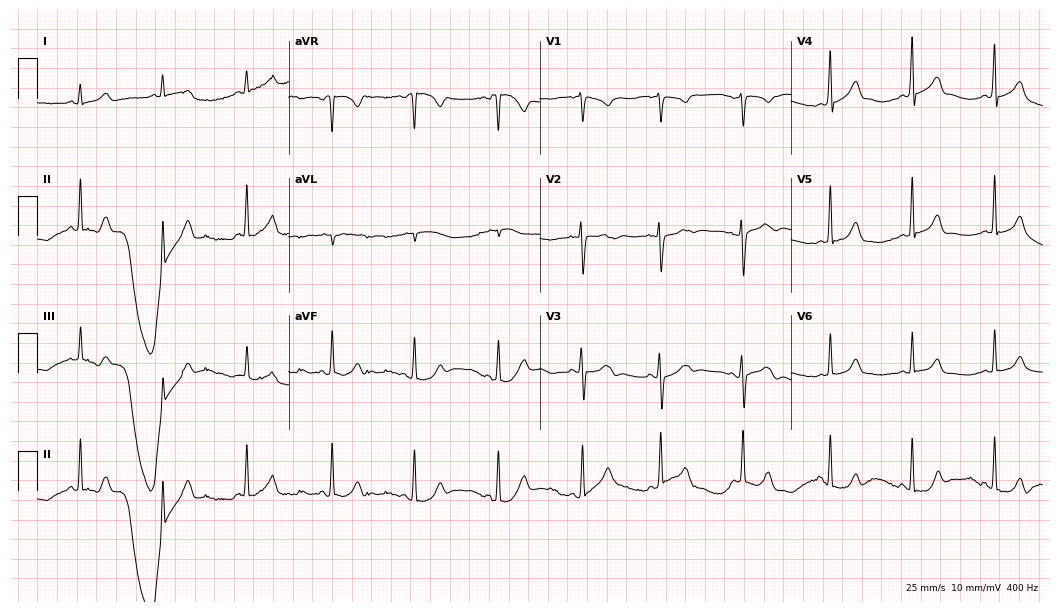
ECG (10.2-second recording at 400 Hz) — a female, 20 years old. Labelled as a normal ECG.